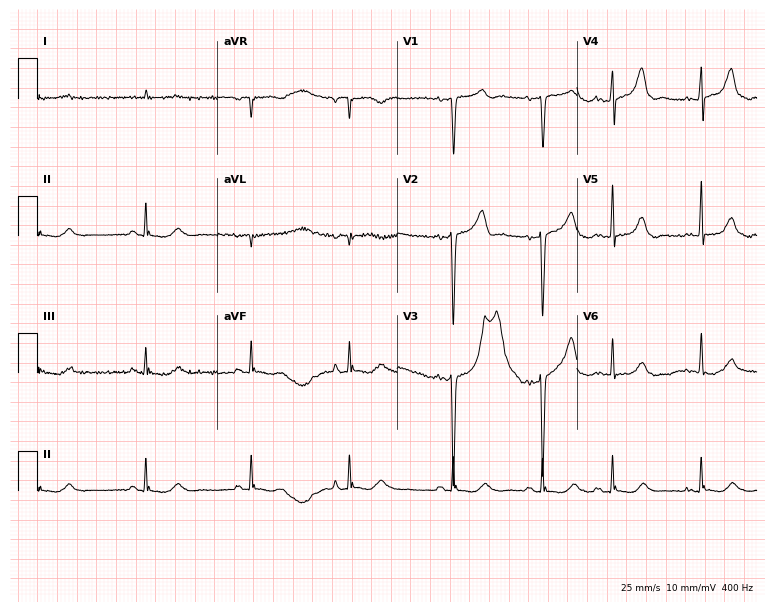
Resting 12-lead electrocardiogram (7.3-second recording at 400 Hz). Patient: a male, 75 years old. None of these six findings is recorded: first-degree AV block, right bundle branch block, left bundle branch block, sinus bradycardia, atrial fibrillation, sinus tachycardia. Only these six findings were labelled.